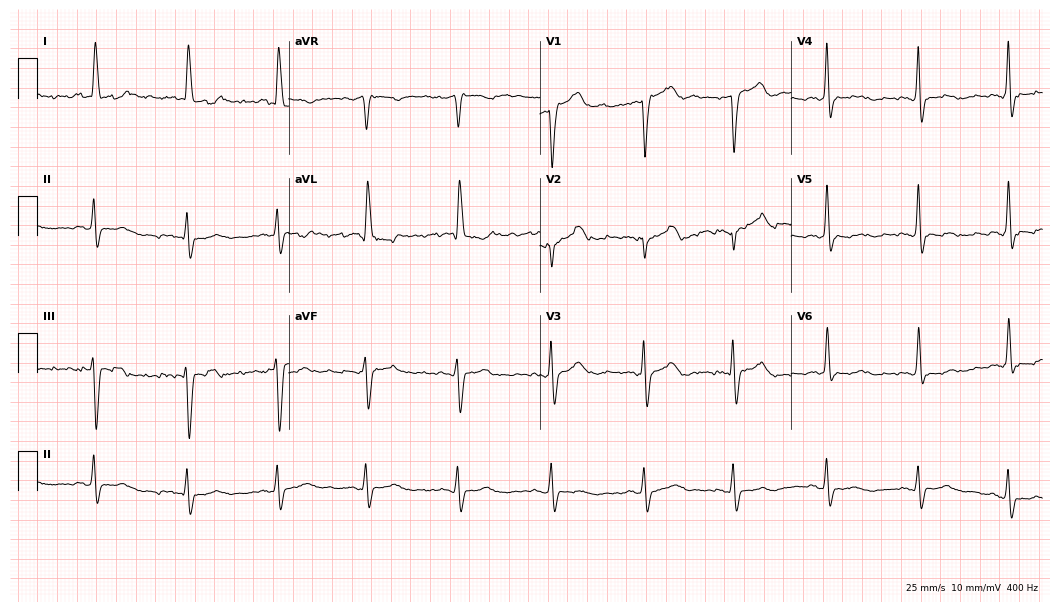
12-lead ECG from a female, 70 years old. Screened for six findings — first-degree AV block, right bundle branch block (RBBB), left bundle branch block (LBBB), sinus bradycardia, atrial fibrillation (AF), sinus tachycardia — none is recorded. Findings outside these six are not listed.